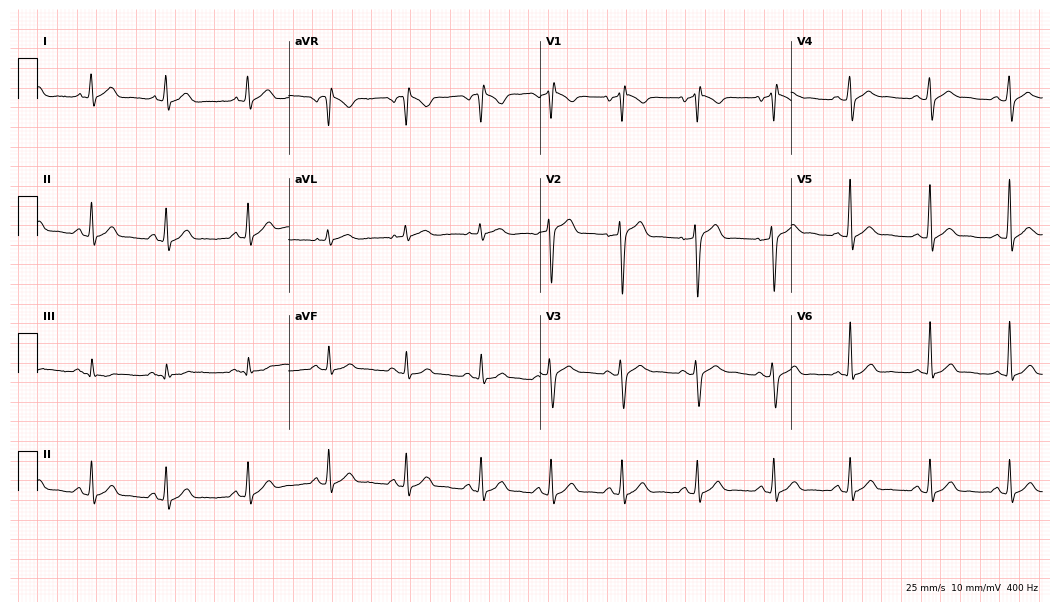
12-lead ECG from a man, 27 years old. Screened for six findings — first-degree AV block, right bundle branch block (RBBB), left bundle branch block (LBBB), sinus bradycardia, atrial fibrillation (AF), sinus tachycardia — none is recorded.